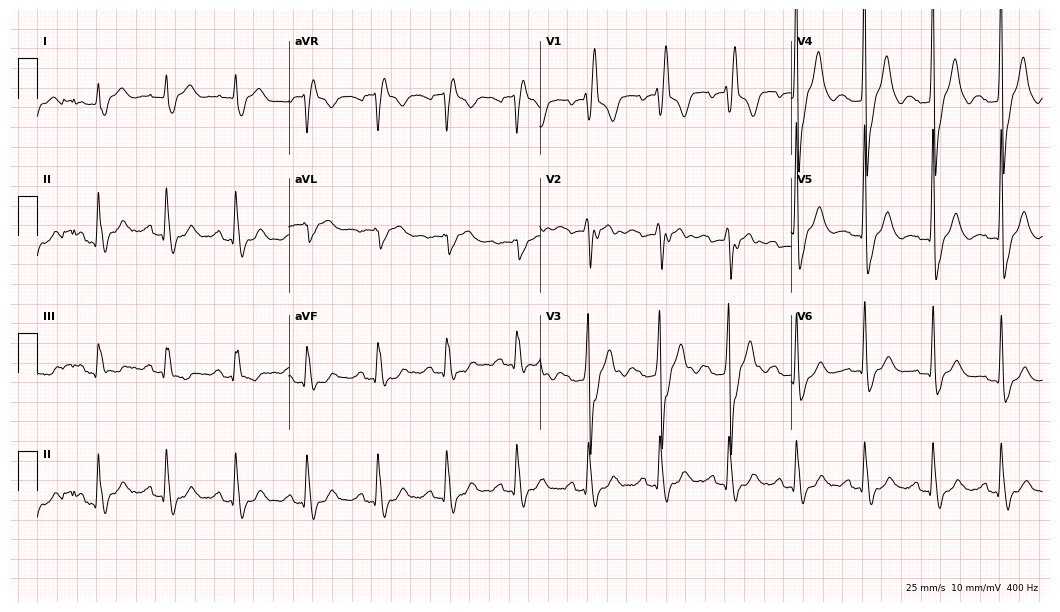
12-lead ECG from a 76-year-old male patient (10.2-second recording at 400 Hz). Shows right bundle branch block.